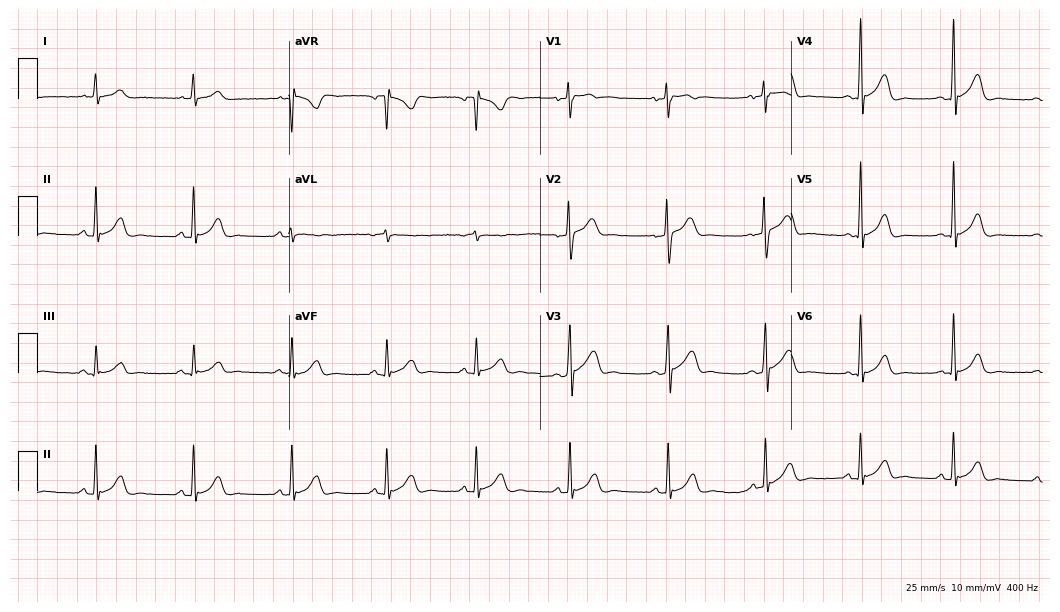
12-lead ECG from a male patient, 33 years old. Labelled as a normal ECG.